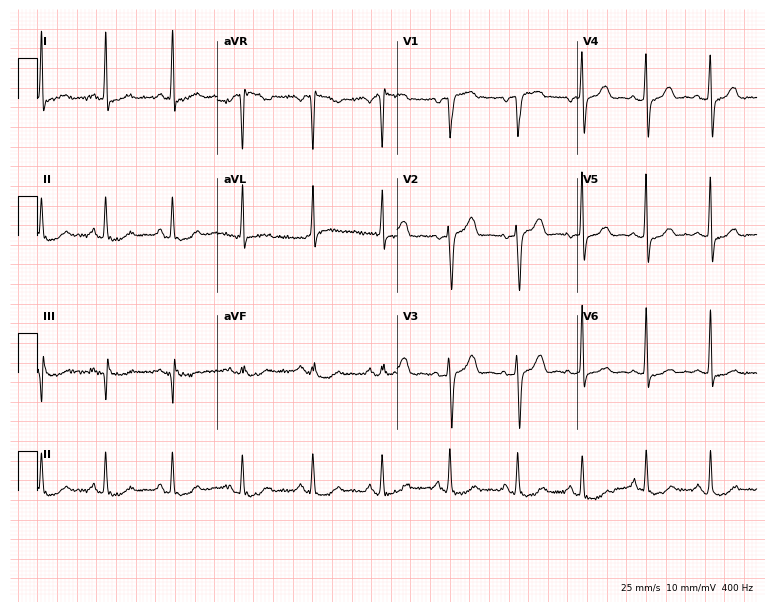
Resting 12-lead electrocardiogram. Patient: a woman, 64 years old. None of these six findings is recorded: first-degree AV block, right bundle branch block, left bundle branch block, sinus bradycardia, atrial fibrillation, sinus tachycardia.